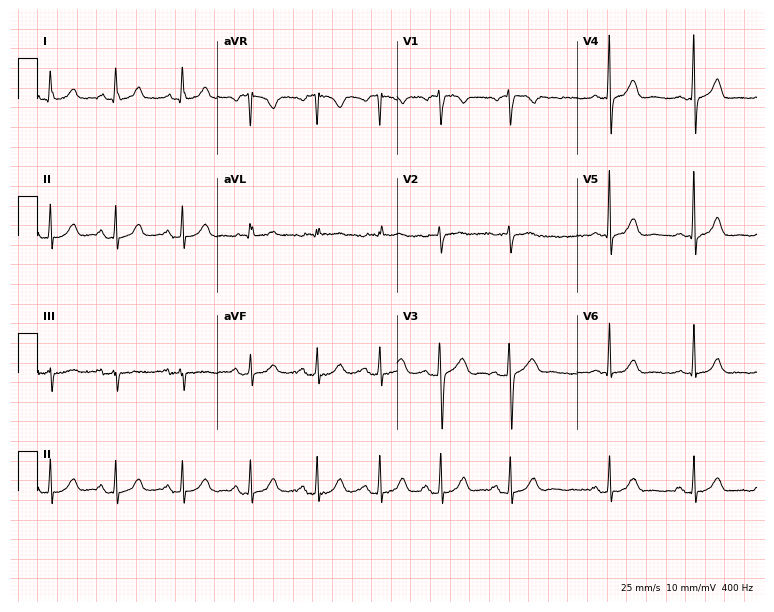
Electrocardiogram, a female patient, 49 years old. Of the six screened findings (first-degree AV block, right bundle branch block, left bundle branch block, sinus bradycardia, atrial fibrillation, sinus tachycardia), none is recorded. Findings outside these six are not listed.